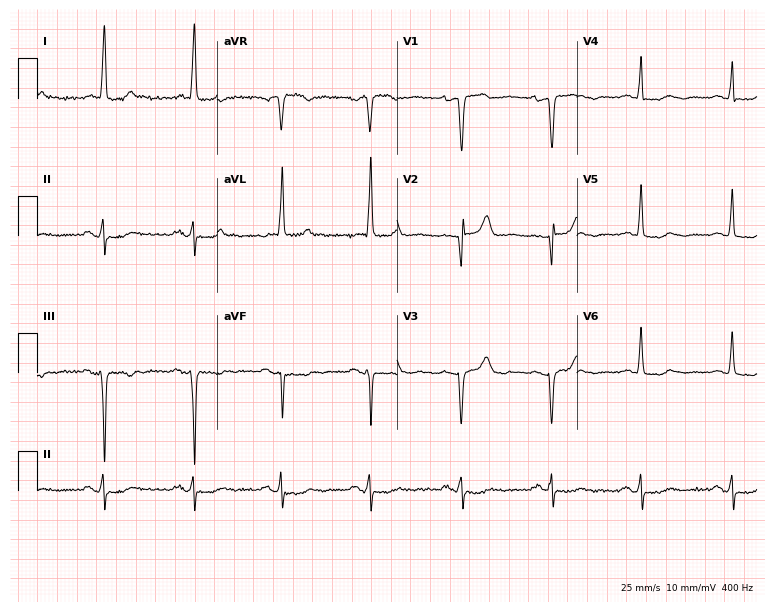
ECG — a female, 81 years old. Screened for six findings — first-degree AV block, right bundle branch block (RBBB), left bundle branch block (LBBB), sinus bradycardia, atrial fibrillation (AF), sinus tachycardia — none is recorded.